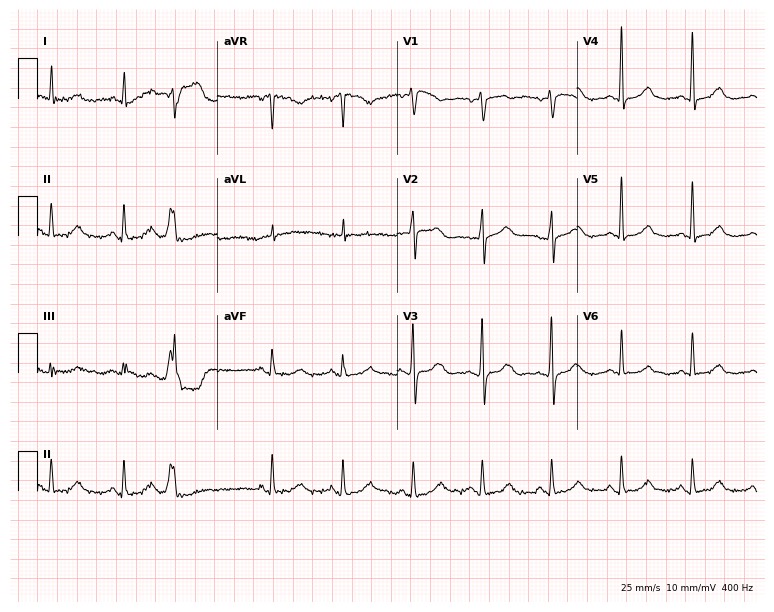
12-lead ECG from a female patient, 68 years old (7.3-second recording at 400 Hz). No first-degree AV block, right bundle branch block, left bundle branch block, sinus bradycardia, atrial fibrillation or sinus tachycardia recorded for this tracing.